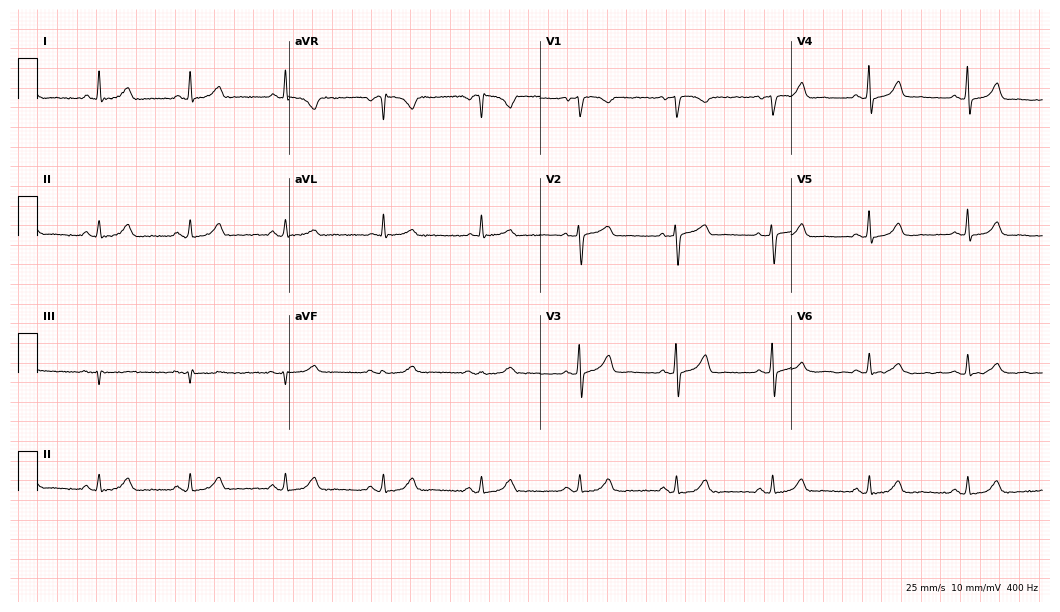
Standard 12-lead ECG recorded from a 59-year-old female patient. None of these six findings is recorded: first-degree AV block, right bundle branch block, left bundle branch block, sinus bradycardia, atrial fibrillation, sinus tachycardia.